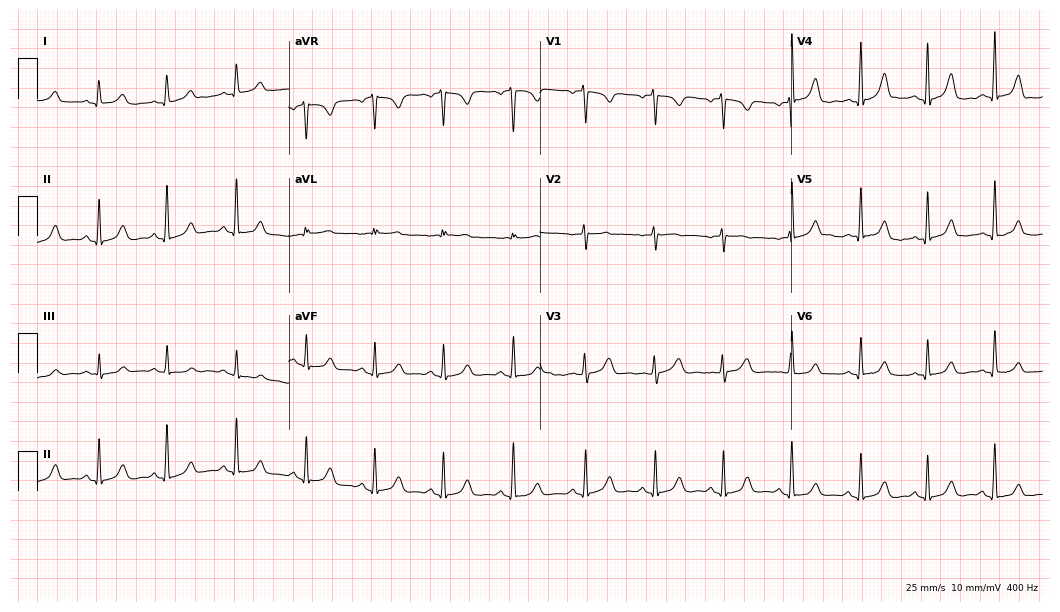
Resting 12-lead electrocardiogram. Patient: a female, 28 years old. None of these six findings is recorded: first-degree AV block, right bundle branch block, left bundle branch block, sinus bradycardia, atrial fibrillation, sinus tachycardia. Findings outside these six are not listed.